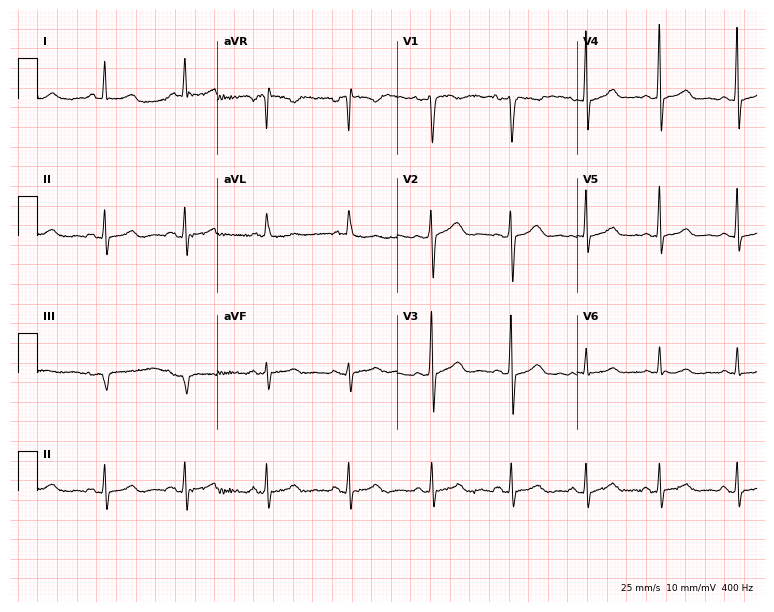
ECG — a female, 57 years old. Screened for six findings — first-degree AV block, right bundle branch block (RBBB), left bundle branch block (LBBB), sinus bradycardia, atrial fibrillation (AF), sinus tachycardia — none is recorded. Findings outside these six are not listed.